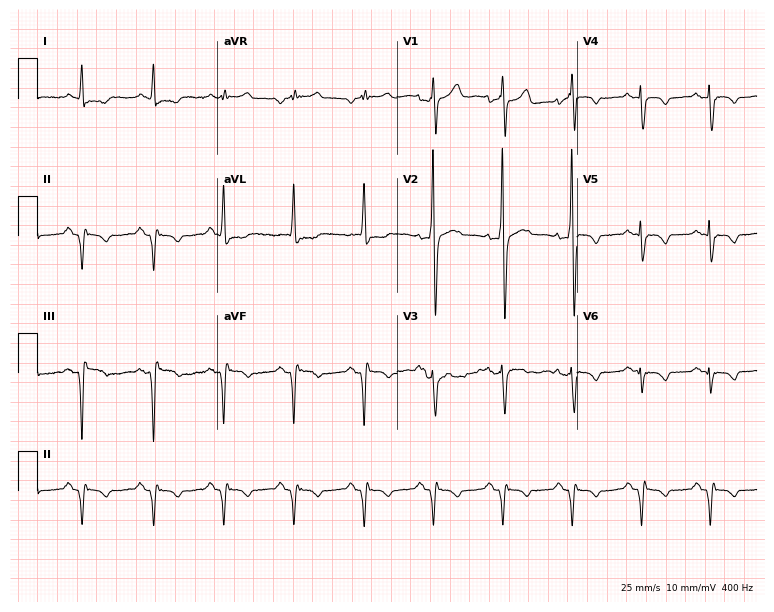
Electrocardiogram (7.3-second recording at 400 Hz), a man, 68 years old. Of the six screened findings (first-degree AV block, right bundle branch block, left bundle branch block, sinus bradycardia, atrial fibrillation, sinus tachycardia), none is recorded.